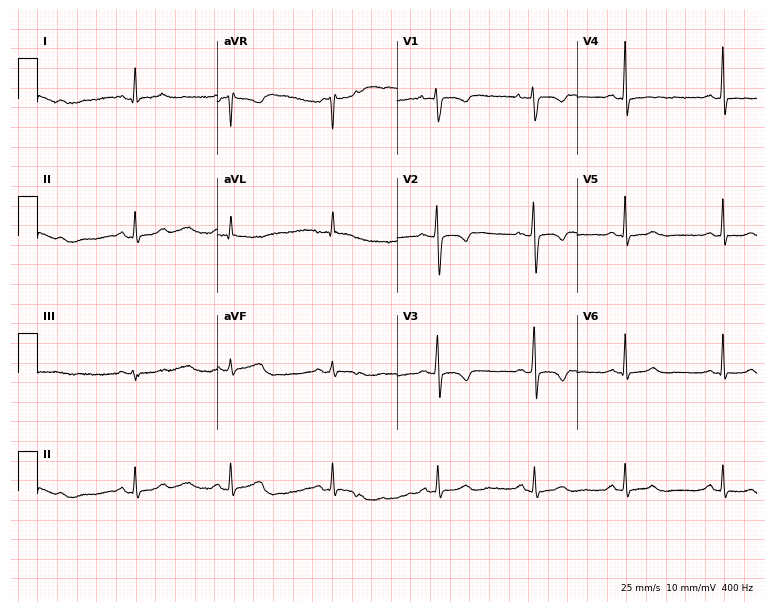
Electrocardiogram, a 31-year-old woman. Of the six screened findings (first-degree AV block, right bundle branch block, left bundle branch block, sinus bradycardia, atrial fibrillation, sinus tachycardia), none is recorded.